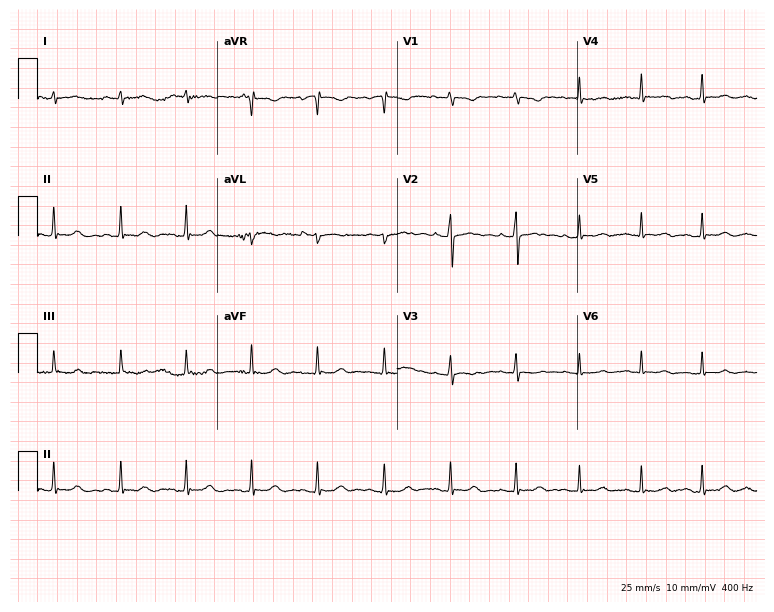
12-lead ECG from a female patient, 28 years old. No first-degree AV block, right bundle branch block (RBBB), left bundle branch block (LBBB), sinus bradycardia, atrial fibrillation (AF) or sinus tachycardia recorded for this tracing.